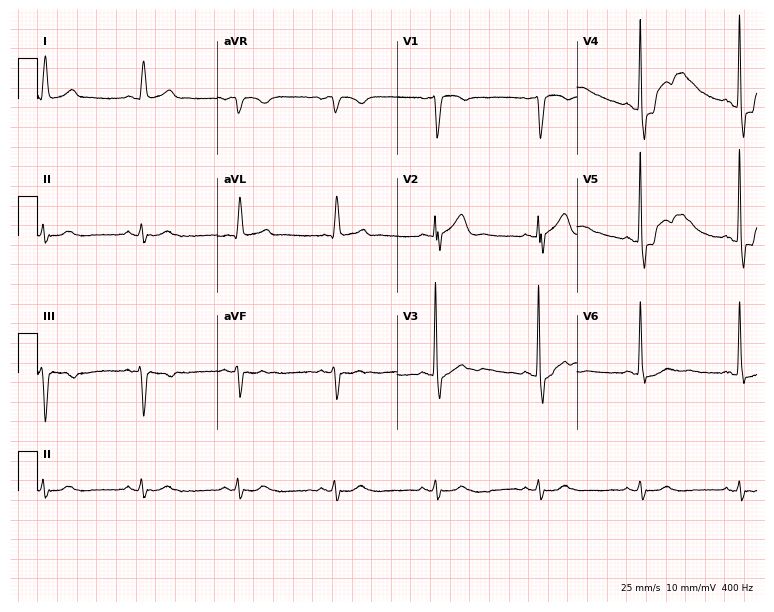
Resting 12-lead electrocardiogram. Patient: an 82-year-old male. None of these six findings is recorded: first-degree AV block, right bundle branch block, left bundle branch block, sinus bradycardia, atrial fibrillation, sinus tachycardia. Other findings, if any, are not listed.